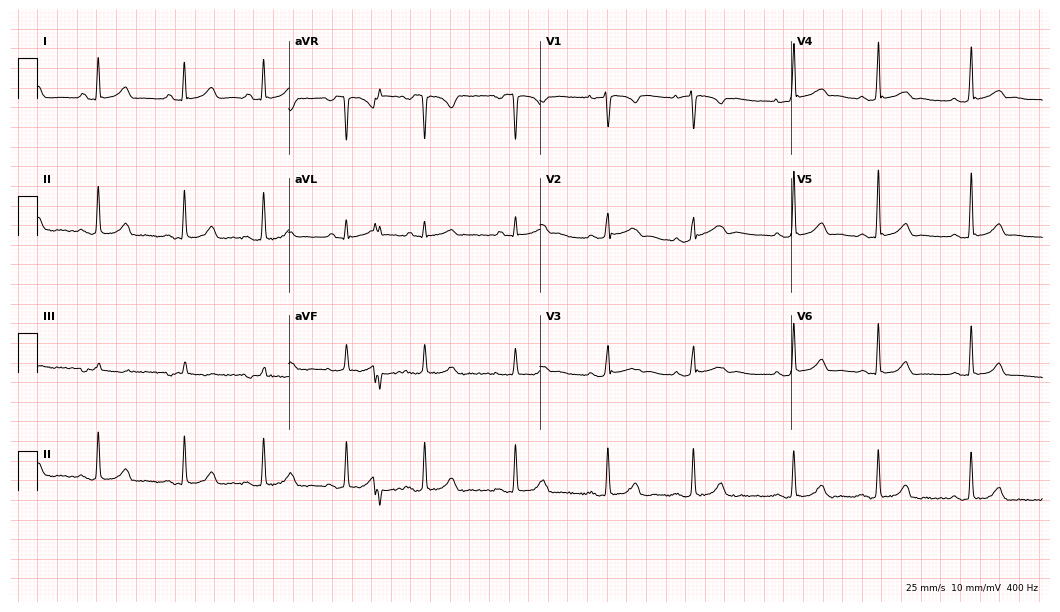
ECG (10.2-second recording at 400 Hz) — a 20-year-old woman. Labelled as a normal ECG.